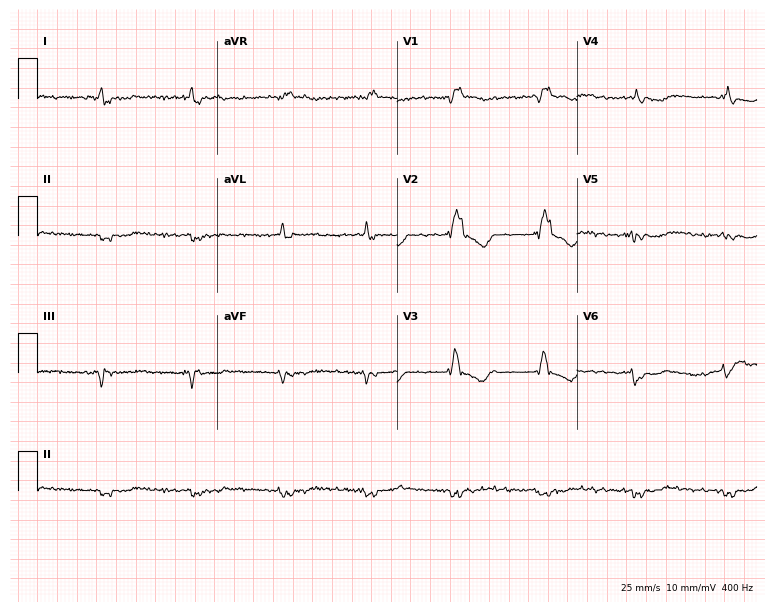
12-lead ECG from an 80-year-old male patient. No first-degree AV block, right bundle branch block (RBBB), left bundle branch block (LBBB), sinus bradycardia, atrial fibrillation (AF) or sinus tachycardia recorded for this tracing. Other findings, if any, are not listed.